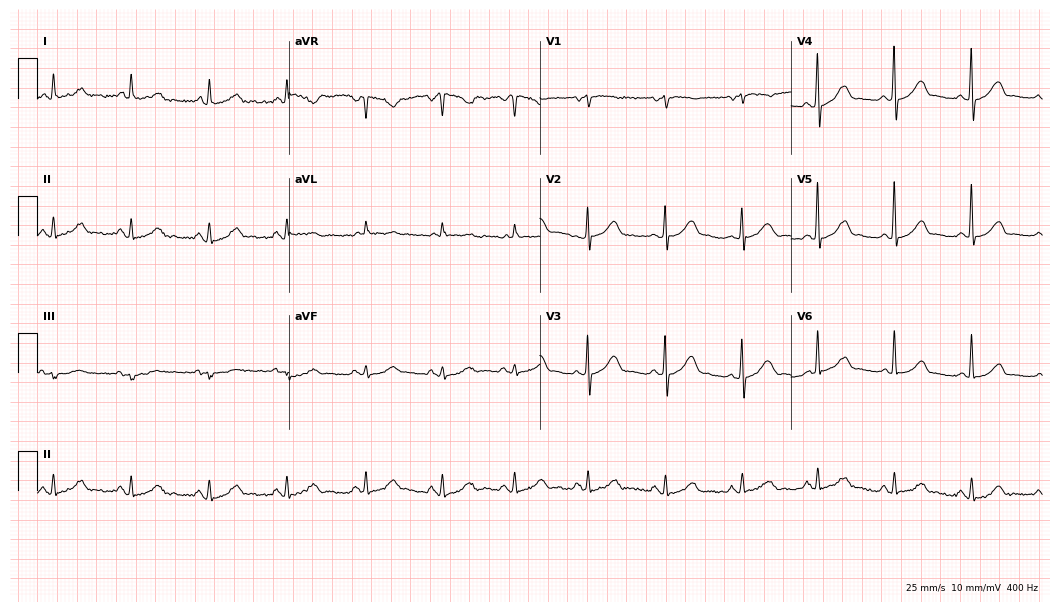
12-lead ECG (10.2-second recording at 400 Hz) from a female patient, 66 years old. Screened for six findings — first-degree AV block, right bundle branch block (RBBB), left bundle branch block (LBBB), sinus bradycardia, atrial fibrillation (AF), sinus tachycardia — none is recorded.